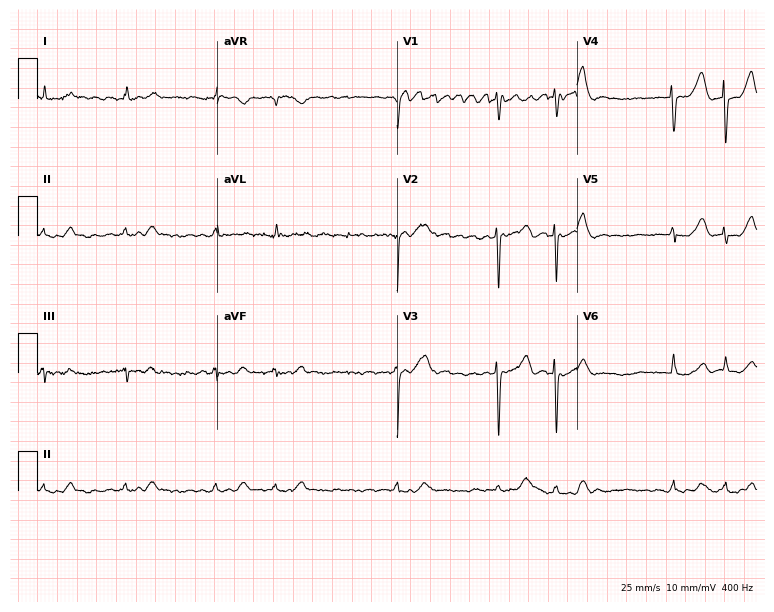
Standard 12-lead ECG recorded from a female, 79 years old (7.3-second recording at 400 Hz). The tracing shows atrial fibrillation (AF).